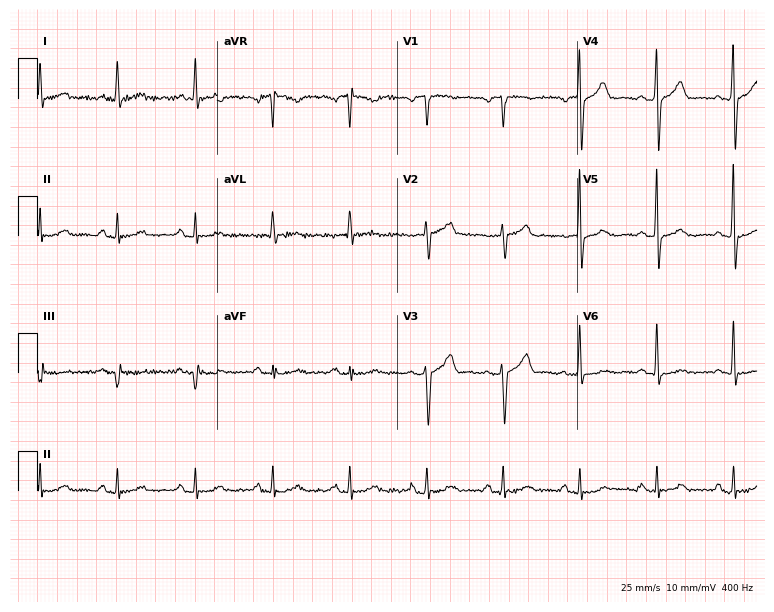
12-lead ECG (7.3-second recording at 400 Hz) from a 65-year-old male patient. Labelled as a normal ECG.